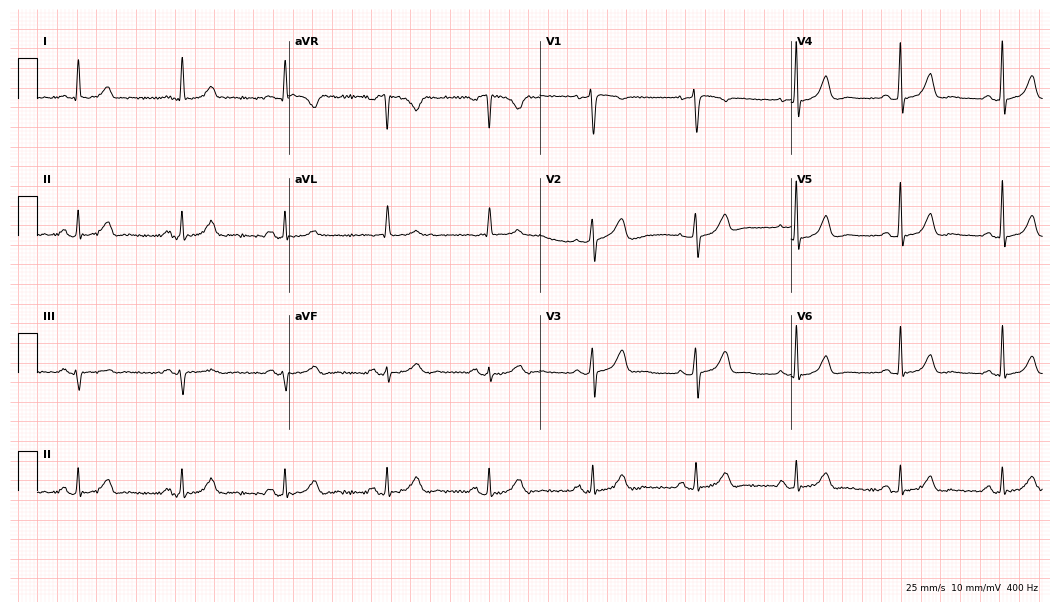
12-lead ECG from a 63-year-old woman. Labelled as a normal ECG.